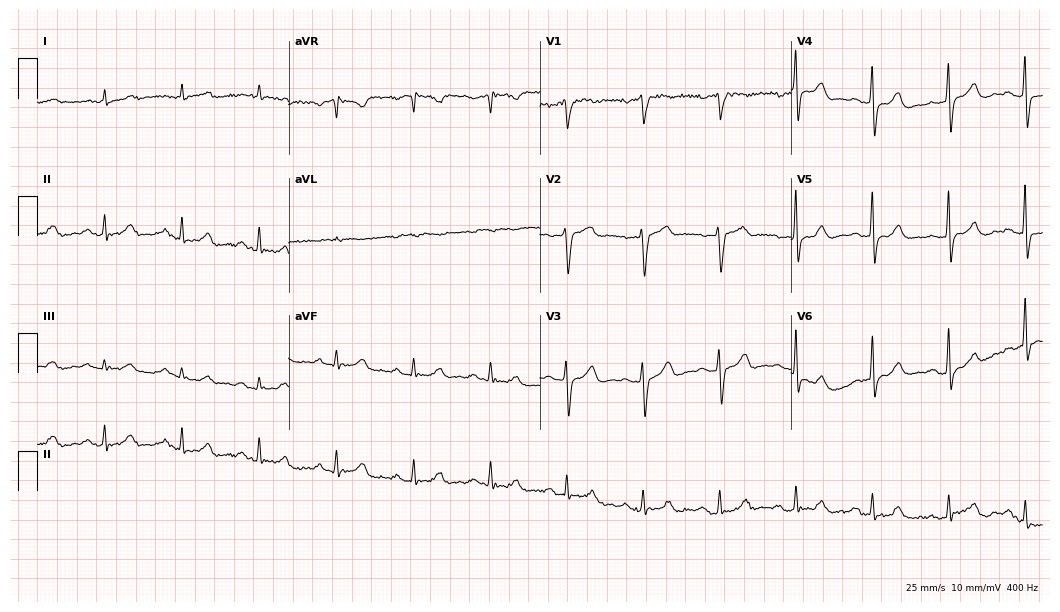
Electrocardiogram, a 79-year-old man. Overall reading on record: normal ECG.